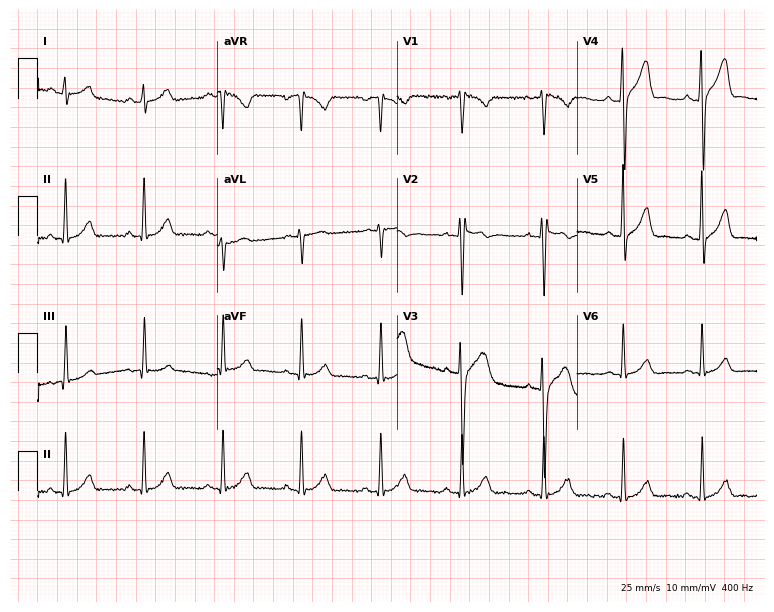
ECG (7.3-second recording at 400 Hz) — a man, 27 years old. Labelled as a normal ECG.